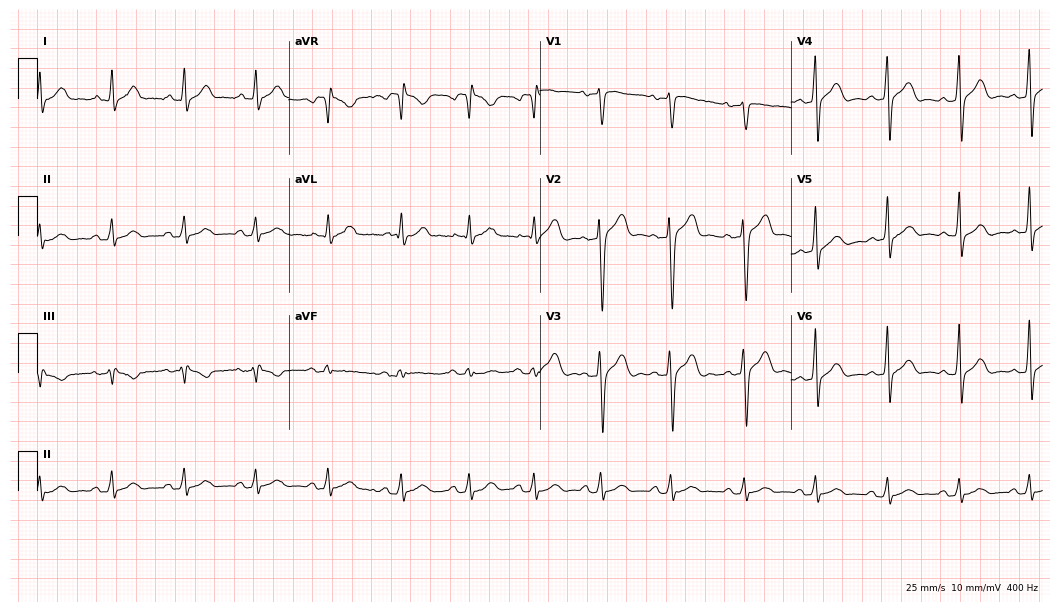
ECG — a 34-year-old man. Screened for six findings — first-degree AV block, right bundle branch block, left bundle branch block, sinus bradycardia, atrial fibrillation, sinus tachycardia — none is recorded.